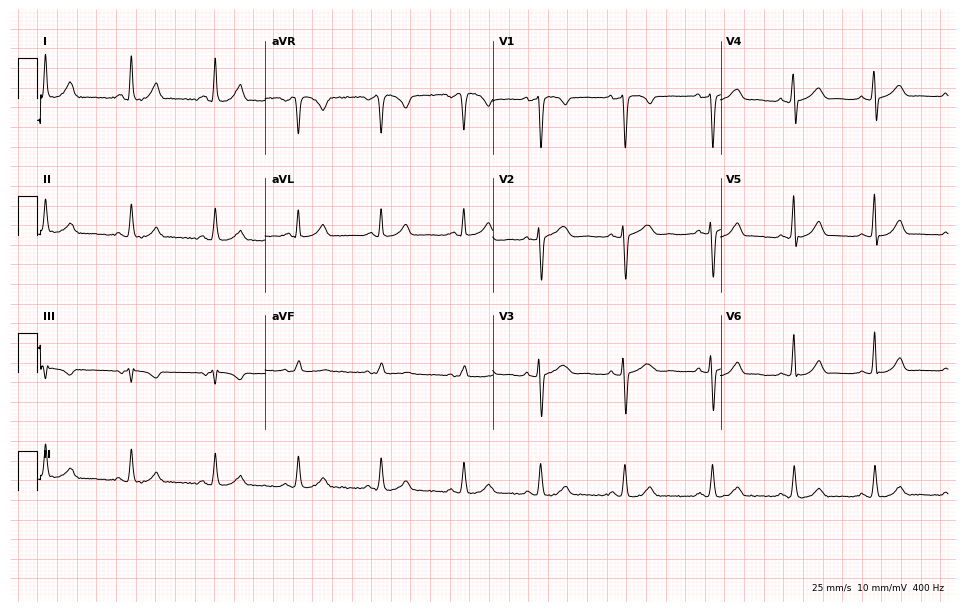
Standard 12-lead ECG recorded from a 17-year-old female patient (9.3-second recording at 400 Hz). Read as a normal ECG.